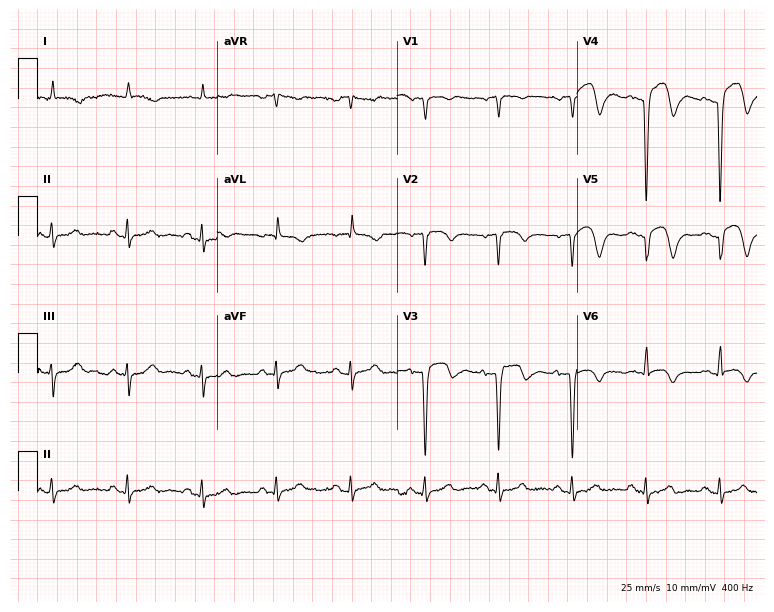
ECG (7.3-second recording at 400 Hz) — a 73-year-old man. Screened for six findings — first-degree AV block, right bundle branch block (RBBB), left bundle branch block (LBBB), sinus bradycardia, atrial fibrillation (AF), sinus tachycardia — none is recorded. Findings outside these six are not listed.